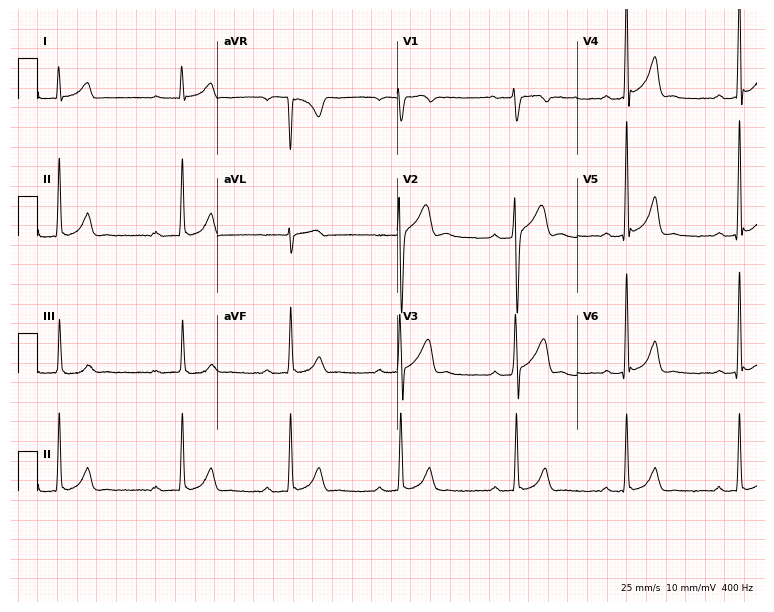
Resting 12-lead electrocardiogram. Patient: a 26-year-old man. None of these six findings is recorded: first-degree AV block, right bundle branch block (RBBB), left bundle branch block (LBBB), sinus bradycardia, atrial fibrillation (AF), sinus tachycardia.